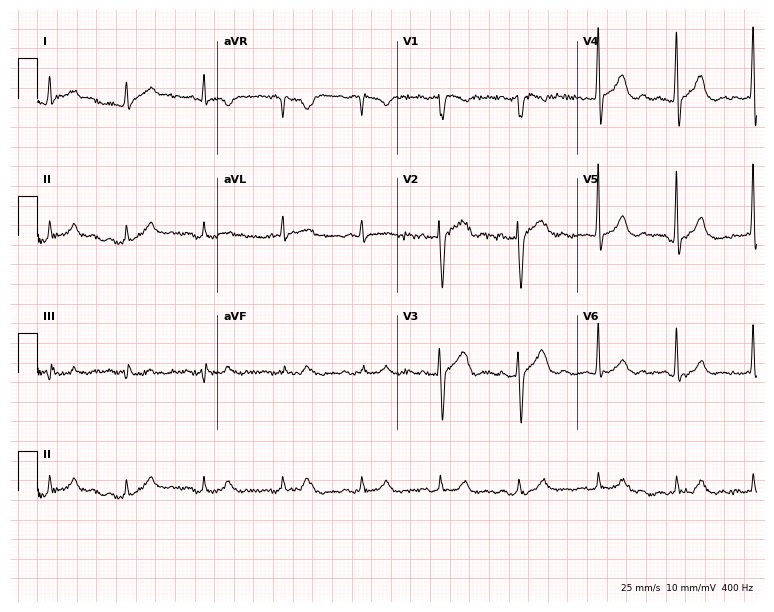
12-lead ECG from a man, 67 years old. Screened for six findings — first-degree AV block, right bundle branch block, left bundle branch block, sinus bradycardia, atrial fibrillation, sinus tachycardia — none is recorded. Other findings, if any, are not listed.